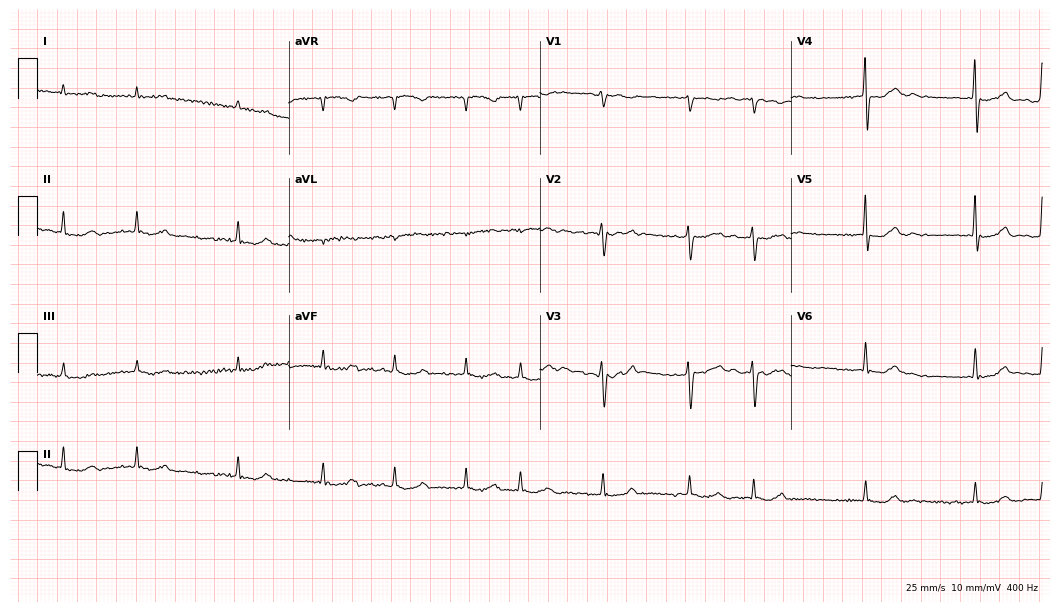
12-lead ECG (10.2-second recording at 400 Hz) from a male patient, 76 years old. Findings include atrial fibrillation (AF).